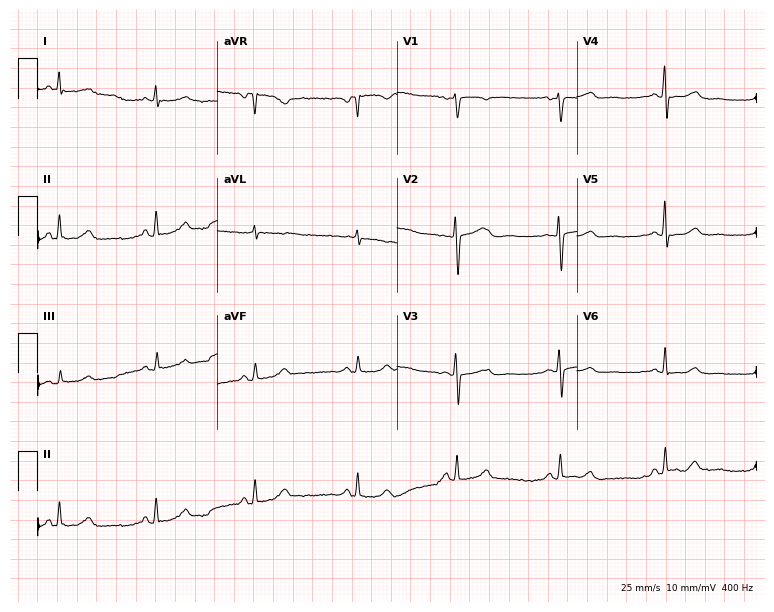
Resting 12-lead electrocardiogram. Patient: a female, 51 years old. None of these six findings is recorded: first-degree AV block, right bundle branch block, left bundle branch block, sinus bradycardia, atrial fibrillation, sinus tachycardia. Only these six findings were labelled.